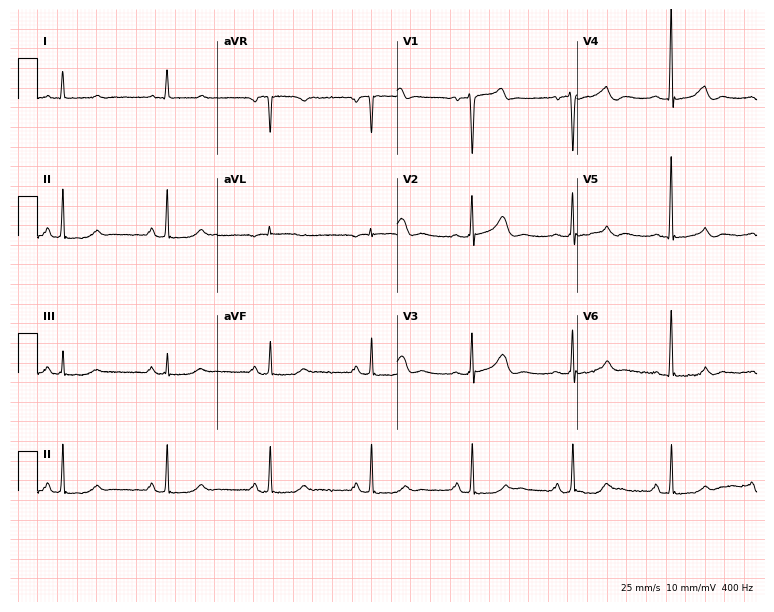
Resting 12-lead electrocardiogram. Patient: a male, 63 years old. None of these six findings is recorded: first-degree AV block, right bundle branch block (RBBB), left bundle branch block (LBBB), sinus bradycardia, atrial fibrillation (AF), sinus tachycardia.